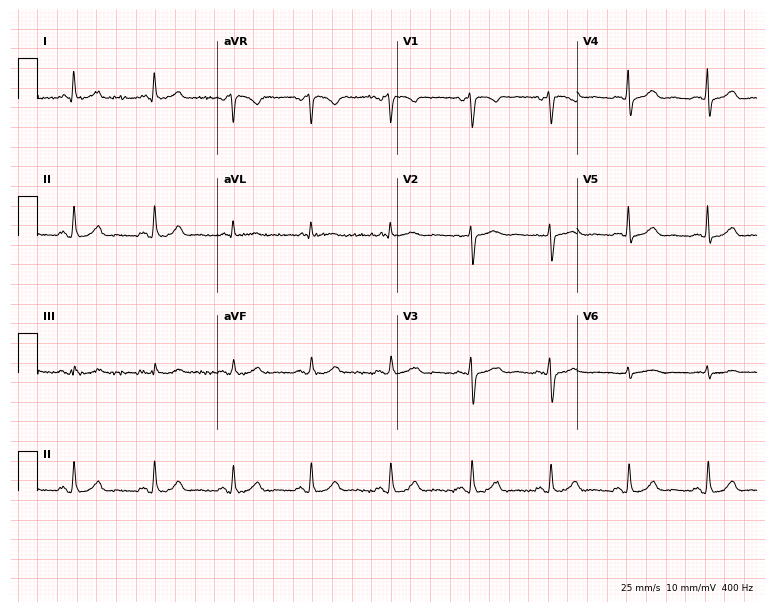
Electrocardiogram (7.3-second recording at 400 Hz), a woman, 62 years old. Overall reading on record: normal ECG.